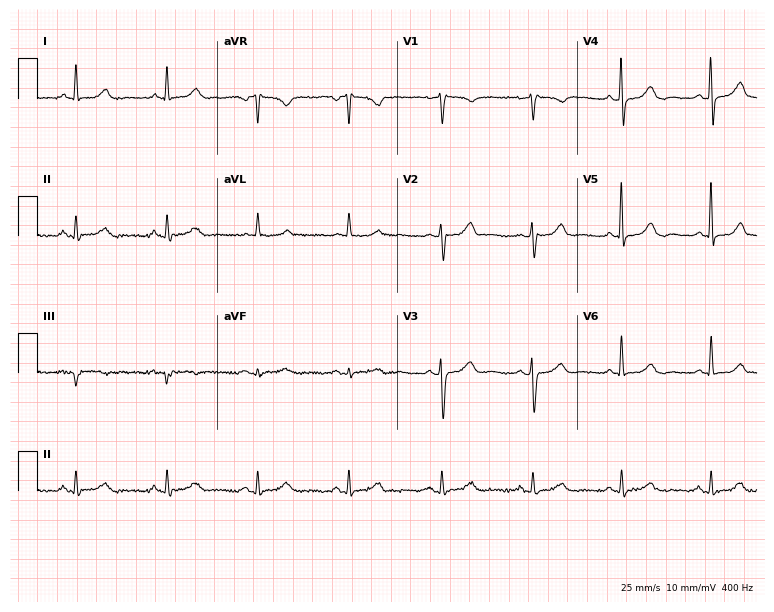
Electrocardiogram, a 65-year-old woman. Overall reading on record: normal ECG.